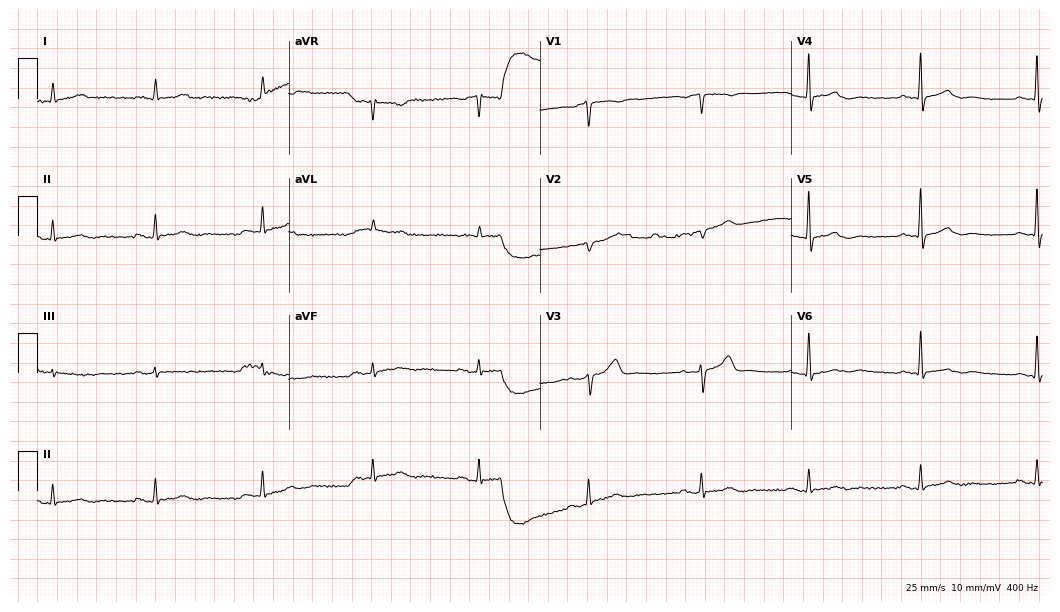
12-lead ECG from a man, 65 years old. No first-degree AV block, right bundle branch block (RBBB), left bundle branch block (LBBB), sinus bradycardia, atrial fibrillation (AF) or sinus tachycardia recorded for this tracing. Findings outside these six are not listed.